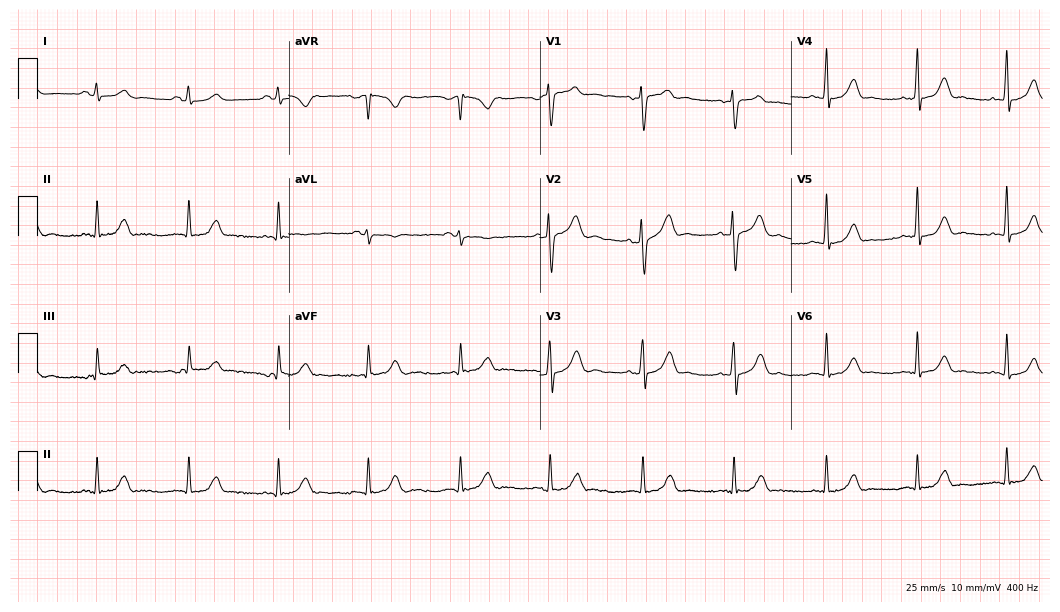
12-lead ECG (10.2-second recording at 400 Hz) from a 51-year-old male patient. Labelled as a normal ECG.